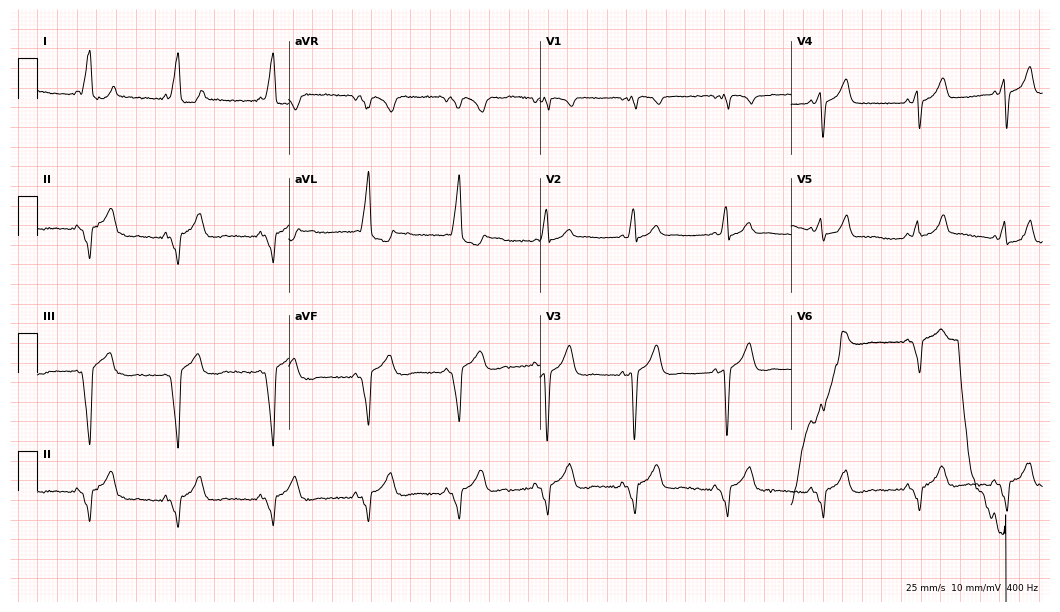
Electrocardiogram, a female, 22 years old. Of the six screened findings (first-degree AV block, right bundle branch block, left bundle branch block, sinus bradycardia, atrial fibrillation, sinus tachycardia), none is recorded. Other findings, if any, are not listed.